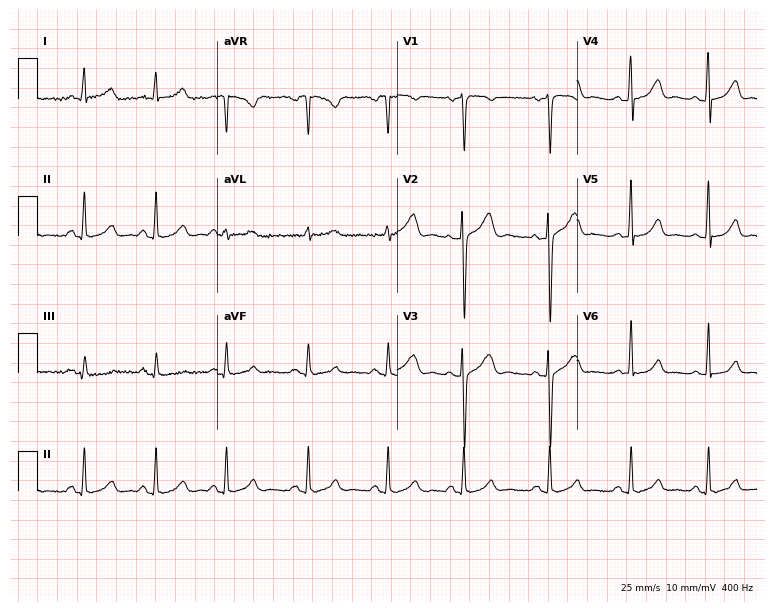
12-lead ECG from a female patient, 36 years old. Screened for six findings — first-degree AV block, right bundle branch block, left bundle branch block, sinus bradycardia, atrial fibrillation, sinus tachycardia — none is recorded.